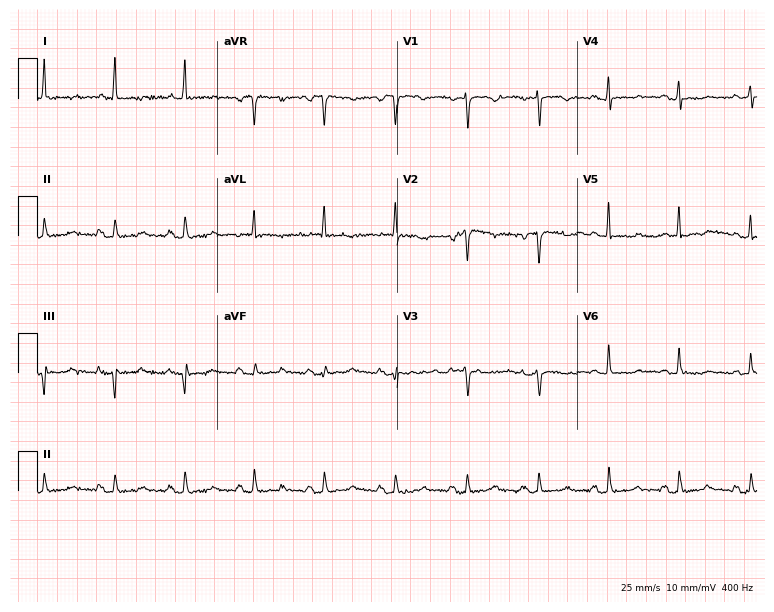
12-lead ECG from a 65-year-old female patient (7.3-second recording at 400 Hz). No first-degree AV block, right bundle branch block, left bundle branch block, sinus bradycardia, atrial fibrillation or sinus tachycardia recorded for this tracing.